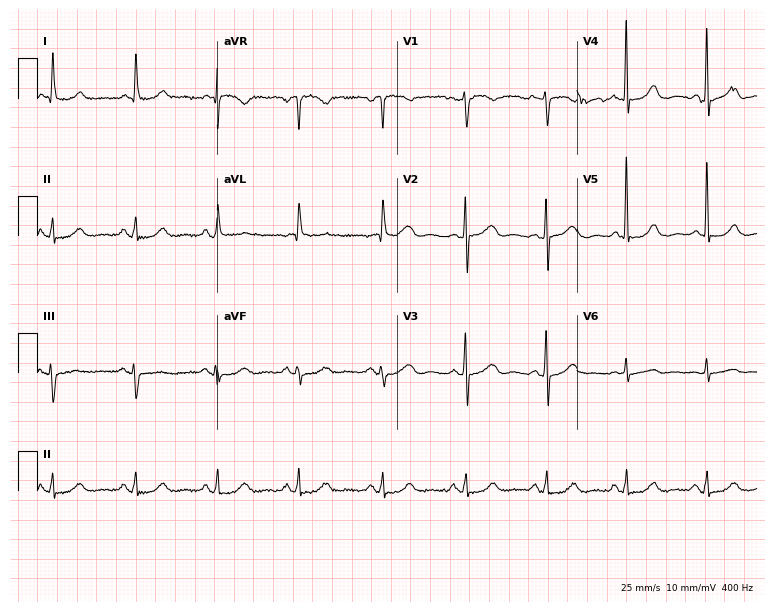
12-lead ECG from a female, 83 years old. Recorded interpretation: within normal limits.